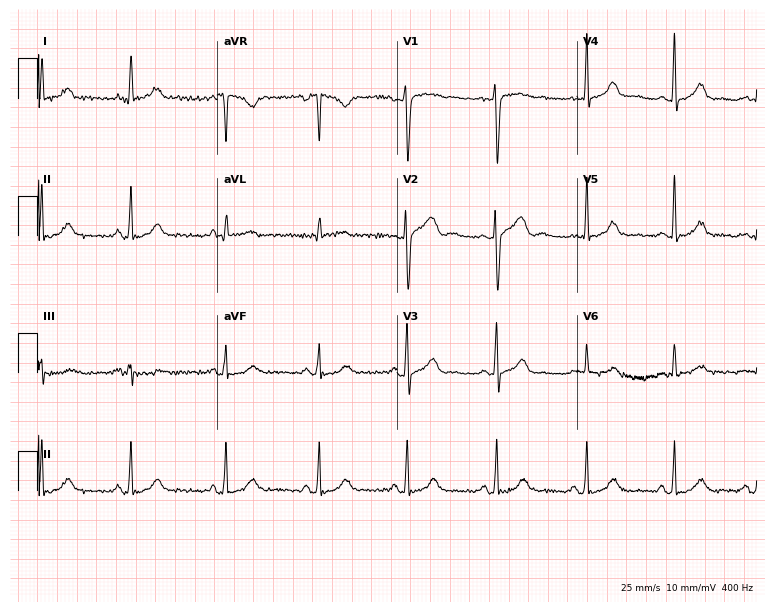
Electrocardiogram (7.3-second recording at 400 Hz), a 43-year-old woman. Of the six screened findings (first-degree AV block, right bundle branch block, left bundle branch block, sinus bradycardia, atrial fibrillation, sinus tachycardia), none is recorded. Other findings, if any, are not listed.